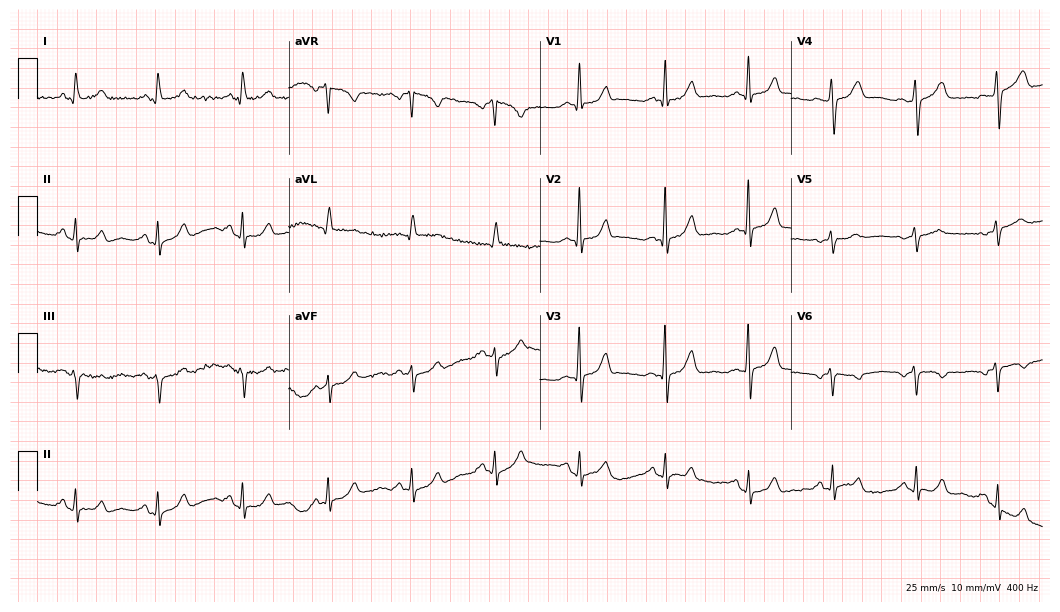
Electrocardiogram (10.2-second recording at 400 Hz), a 52-year-old female patient. Of the six screened findings (first-degree AV block, right bundle branch block, left bundle branch block, sinus bradycardia, atrial fibrillation, sinus tachycardia), none is recorded.